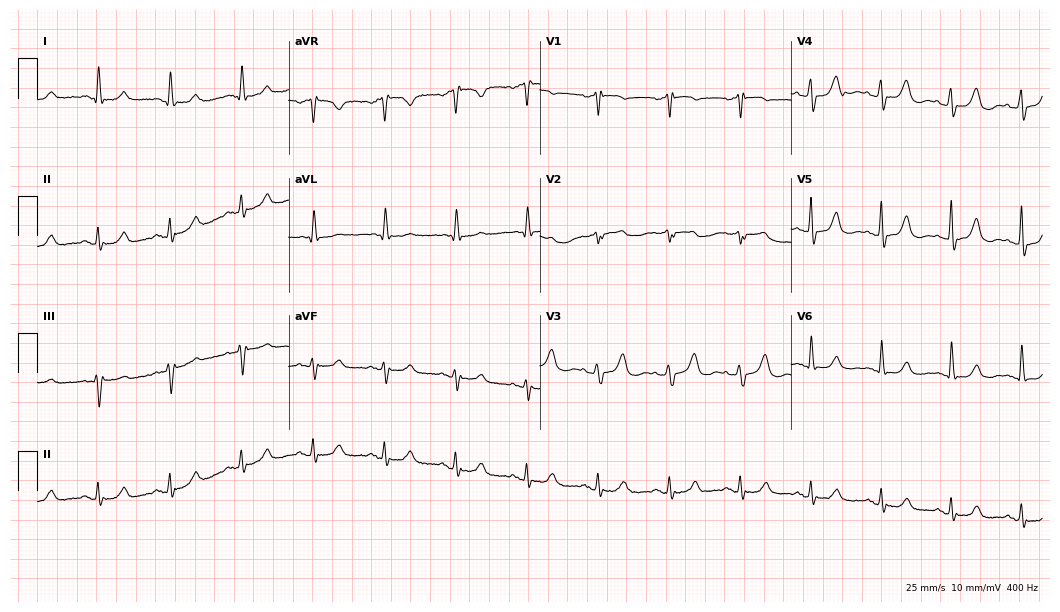
Resting 12-lead electrocardiogram (10.2-second recording at 400 Hz). Patient: a woman, 70 years old. Read as a normal ECG.